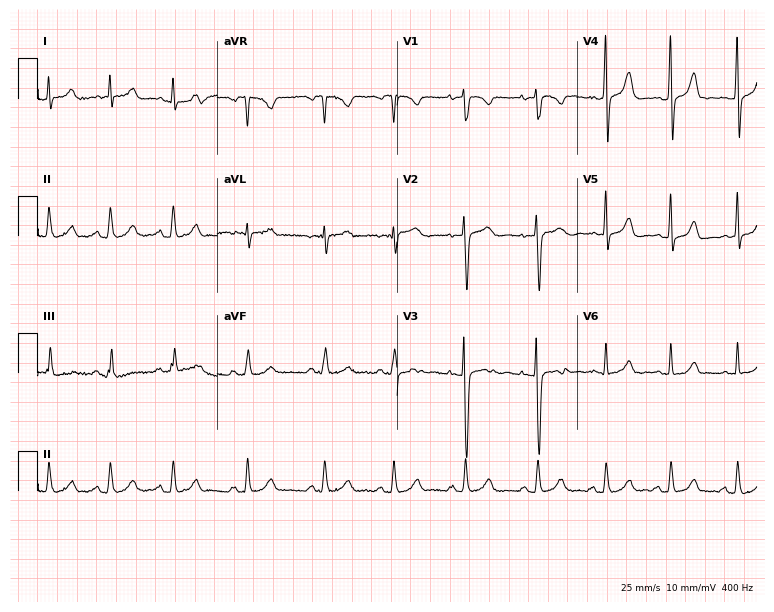
Resting 12-lead electrocardiogram. Patient: a woman, 24 years old. None of these six findings is recorded: first-degree AV block, right bundle branch block, left bundle branch block, sinus bradycardia, atrial fibrillation, sinus tachycardia.